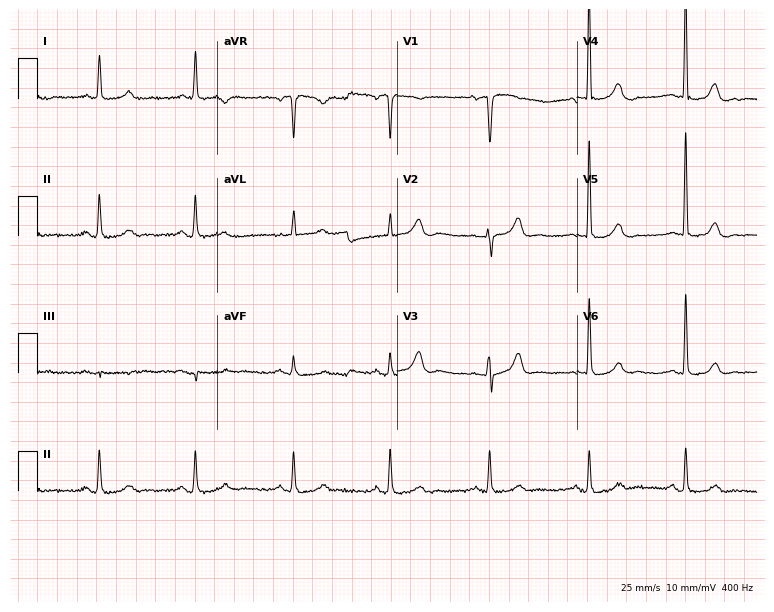
Electrocardiogram, a 71-year-old female patient. Of the six screened findings (first-degree AV block, right bundle branch block, left bundle branch block, sinus bradycardia, atrial fibrillation, sinus tachycardia), none is recorded. Findings outside these six are not listed.